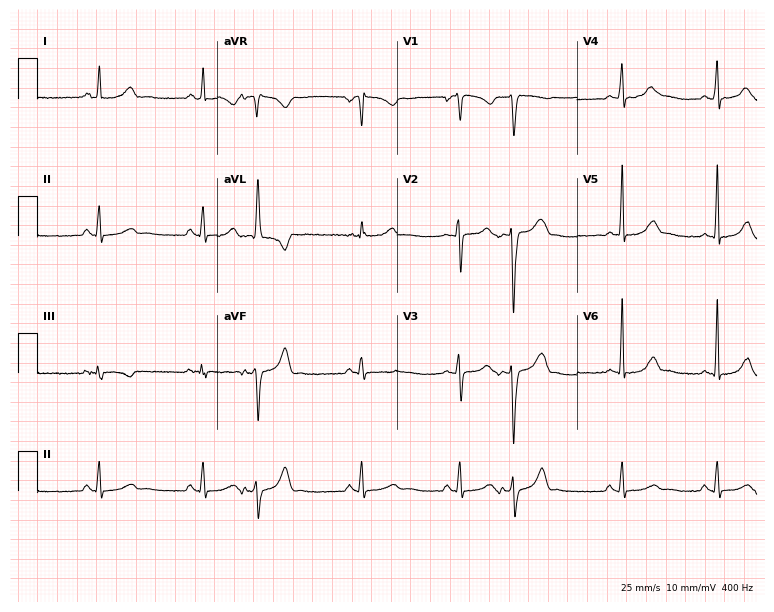
ECG (7.3-second recording at 400 Hz) — a 27-year-old female patient. Screened for six findings — first-degree AV block, right bundle branch block (RBBB), left bundle branch block (LBBB), sinus bradycardia, atrial fibrillation (AF), sinus tachycardia — none is recorded.